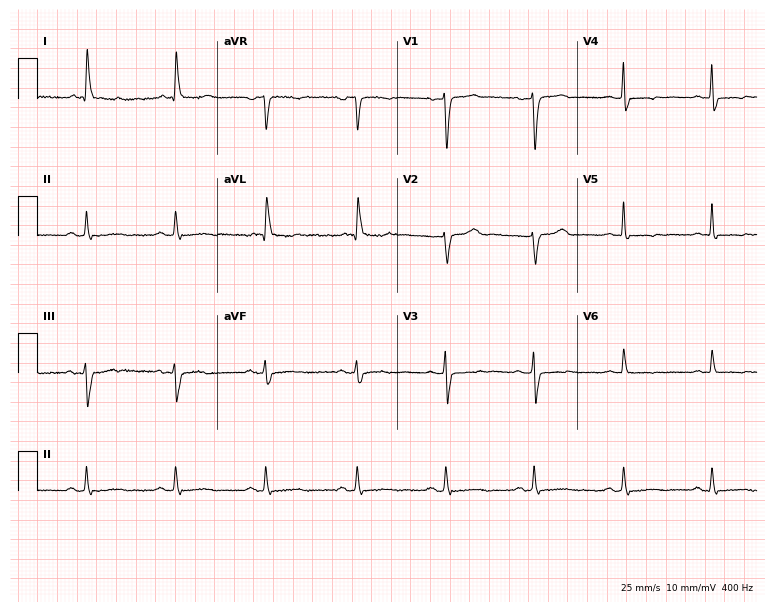
Standard 12-lead ECG recorded from a 68-year-old female (7.3-second recording at 400 Hz). None of these six findings is recorded: first-degree AV block, right bundle branch block, left bundle branch block, sinus bradycardia, atrial fibrillation, sinus tachycardia. Only these six findings were labelled.